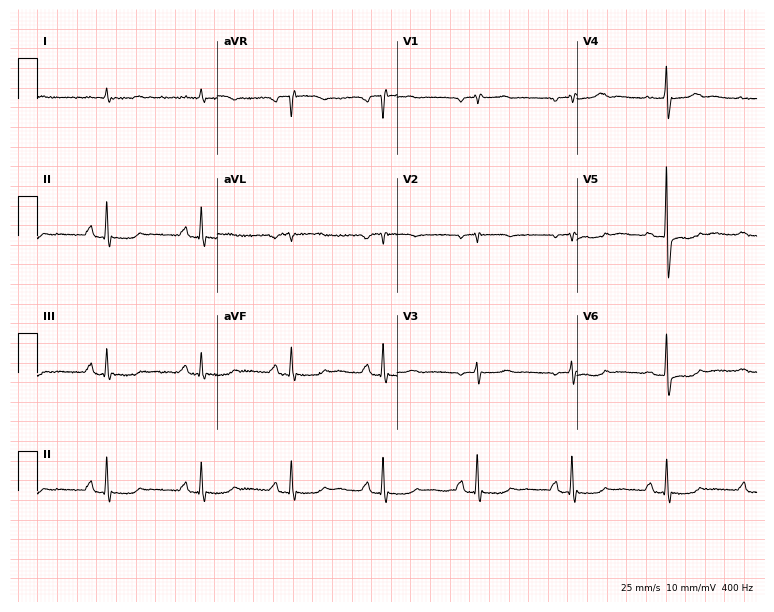
12-lead ECG from an 84-year-old woman (7.3-second recording at 400 Hz). No first-degree AV block, right bundle branch block (RBBB), left bundle branch block (LBBB), sinus bradycardia, atrial fibrillation (AF) or sinus tachycardia recorded for this tracing.